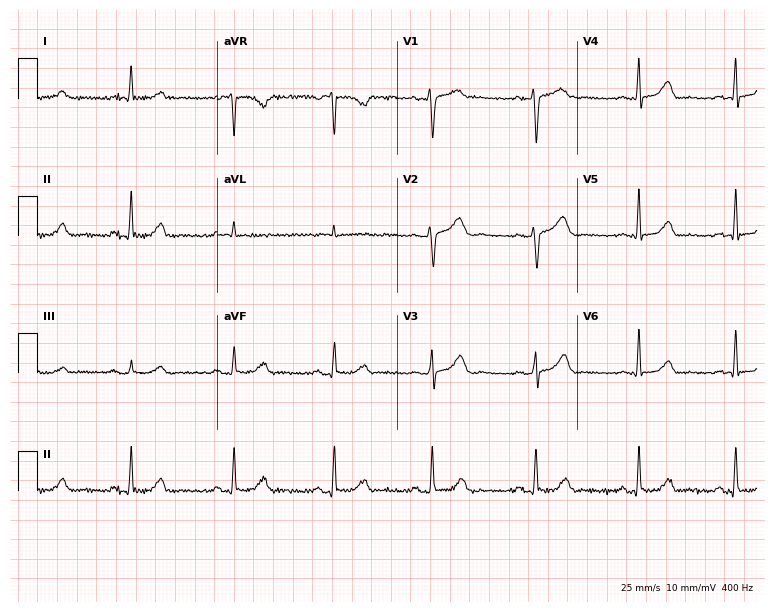
ECG — a female, 60 years old. Screened for six findings — first-degree AV block, right bundle branch block (RBBB), left bundle branch block (LBBB), sinus bradycardia, atrial fibrillation (AF), sinus tachycardia — none is recorded. Findings outside these six are not listed.